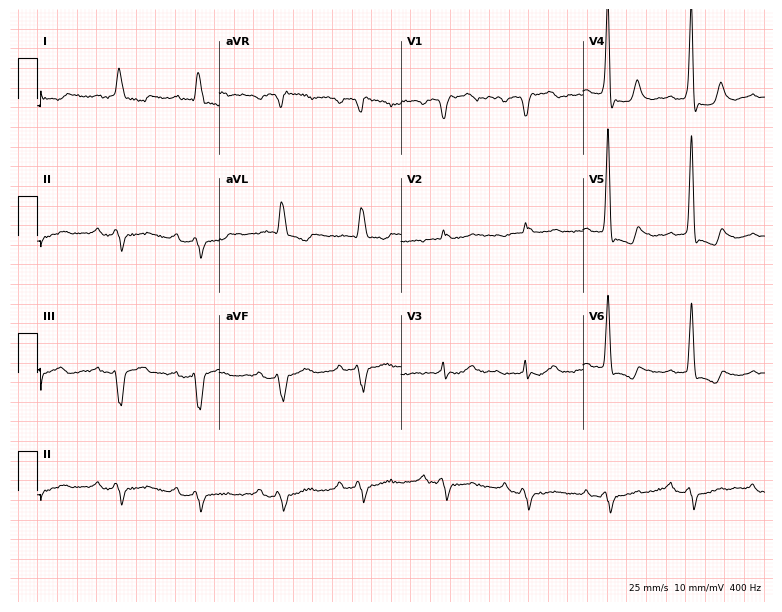
ECG (7.4-second recording at 400 Hz) — a man, 78 years old. Findings include first-degree AV block, left bundle branch block (LBBB).